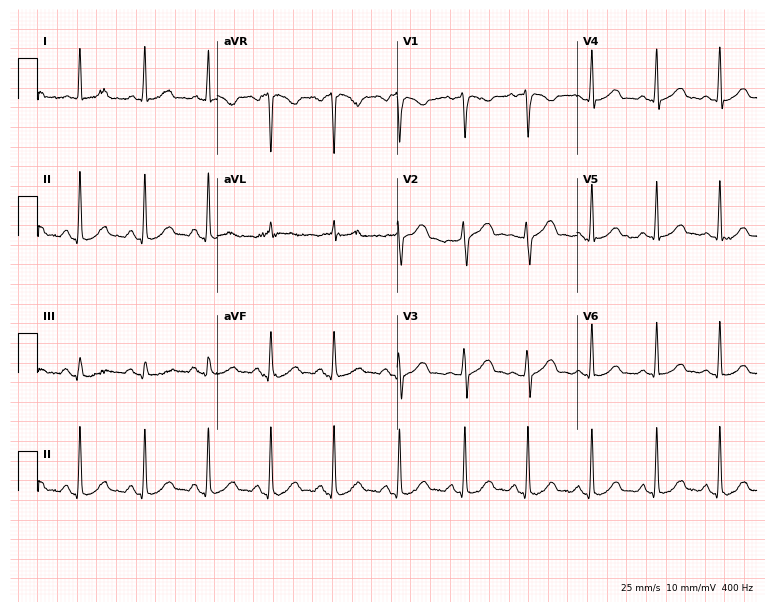
12-lead ECG from a female, 29 years old (7.3-second recording at 400 Hz). Recorded interpretation: within normal limits.